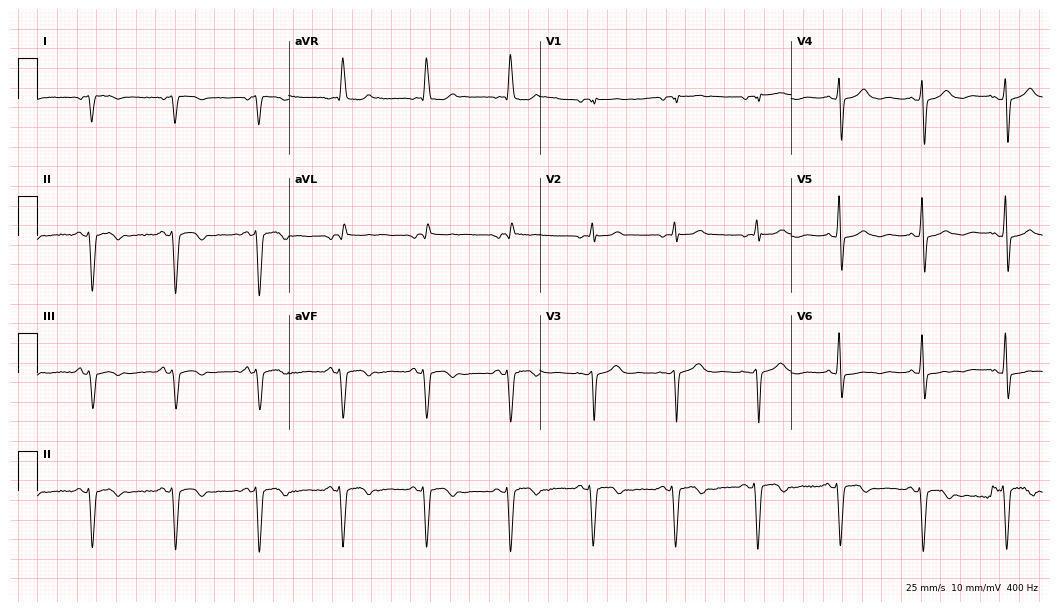
Electrocardiogram (10.2-second recording at 400 Hz), a female, 71 years old. Of the six screened findings (first-degree AV block, right bundle branch block, left bundle branch block, sinus bradycardia, atrial fibrillation, sinus tachycardia), none is recorded. Only these six findings were labelled.